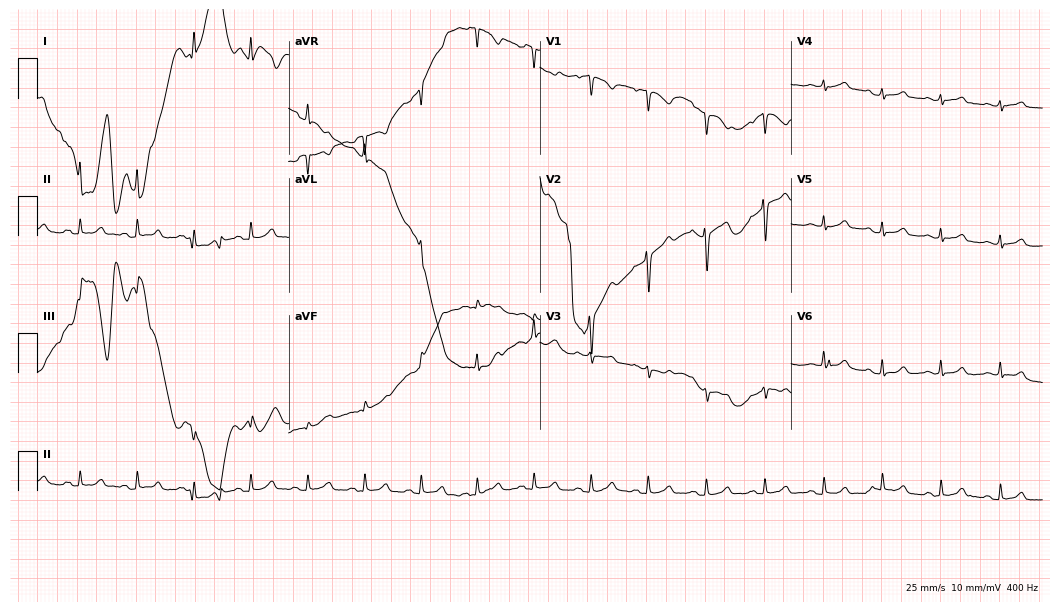
12-lead ECG from a female, 52 years old. No first-degree AV block, right bundle branch block, left bundle branch block, sinus bradycardia, atrial fibrillation or sinus tachycardia recorded for this tracing. Findings outside these six are not listed.